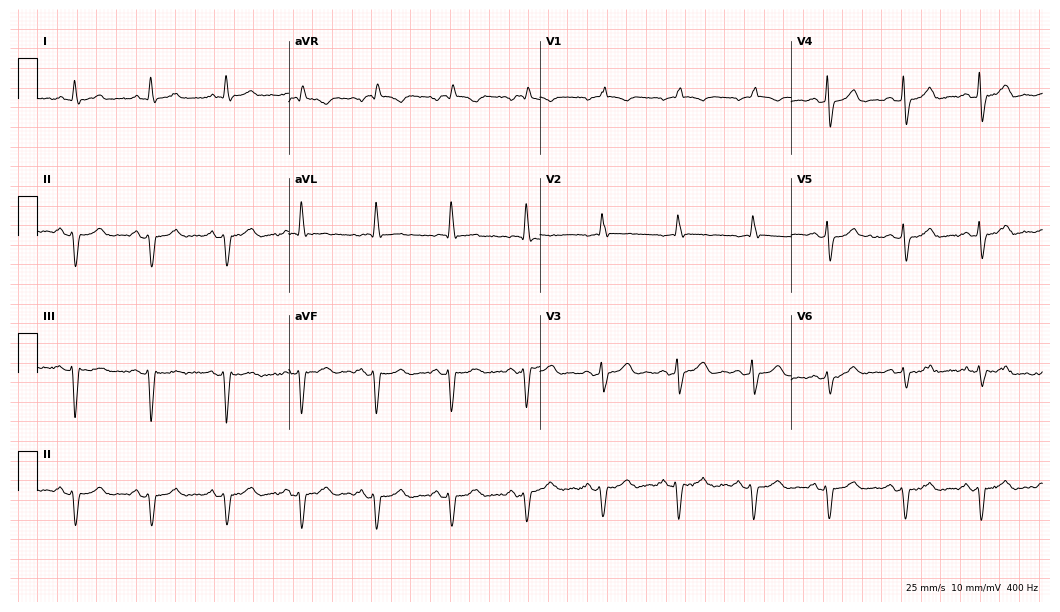
12-lead ECG (10.2-second recording at 400 Hz) from a man, 83 years old. Findings include left bundle branch block (LBBB).